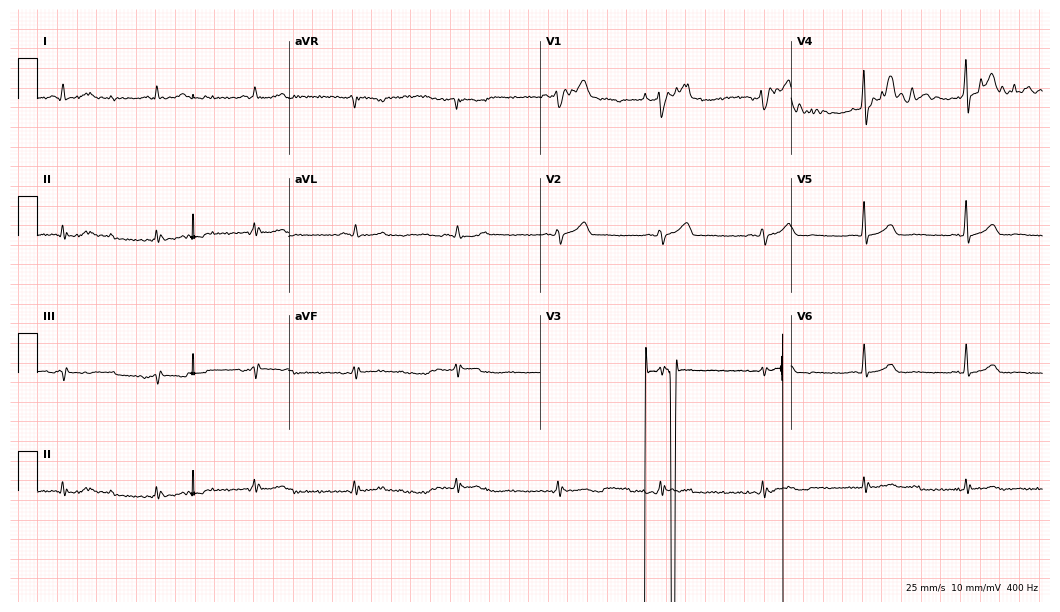
12-lead ECG from a man, 70 years old. No first-degree AV block, right bundle branch block, left bundle branch block, sinus bradycardia, atrial fibrillation or sinus tachycardia recorded for this tracing. Only these six findings were labelled.